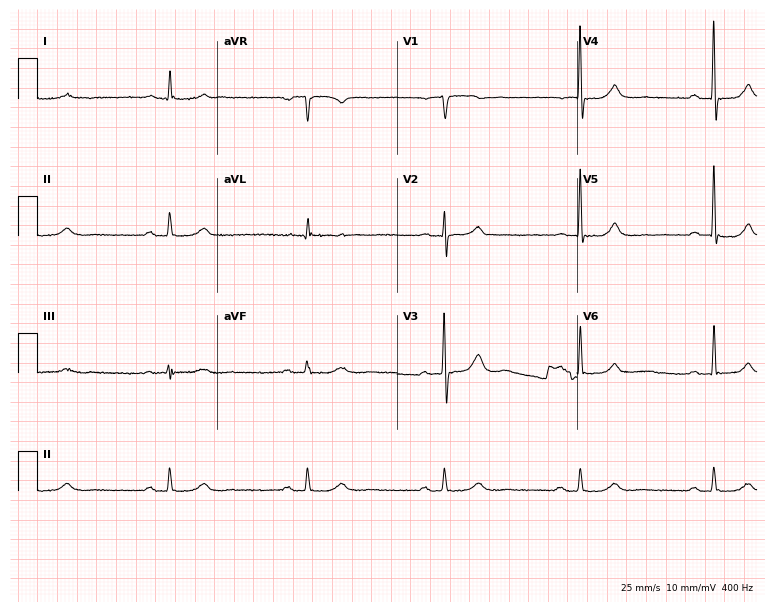
12-lead ECG (7.3-second recording at 400 Hz) from a 70-year-old man. Screened for six findings — first-degree AV block, right bundle branch block, left bundle branch block, sinus bradycardia, atrial fibrillation, sinus tachycardia — none is recorded. Findings outside these six are not listed.